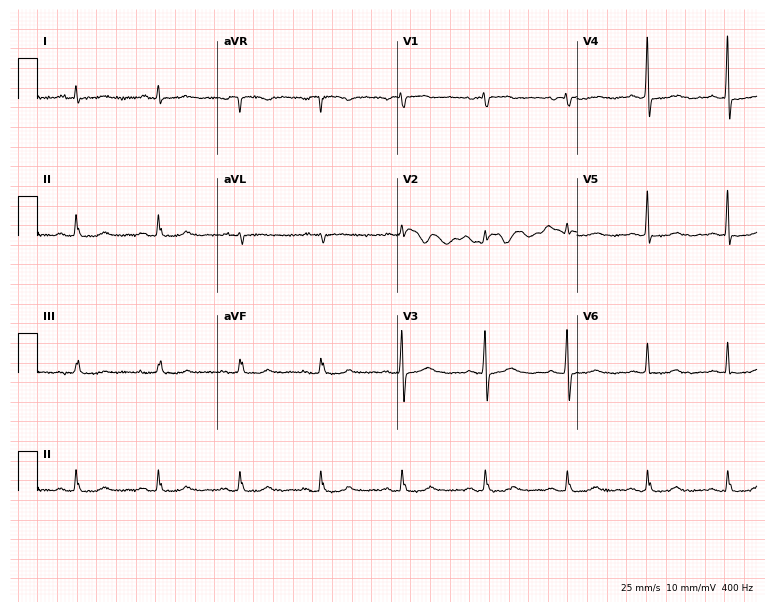
Electrocardiogram (7.3-second recording at 400 Hz), a female, 59 years old. Of the six screened findings (first-degree AV block, right bundle branch block (RBBB), left bundle branch block (LBBB), sinus bradycardia, atrial fibrillation (AF), sinus tachycardia), none is recorded. Findings outside these six are not listed.